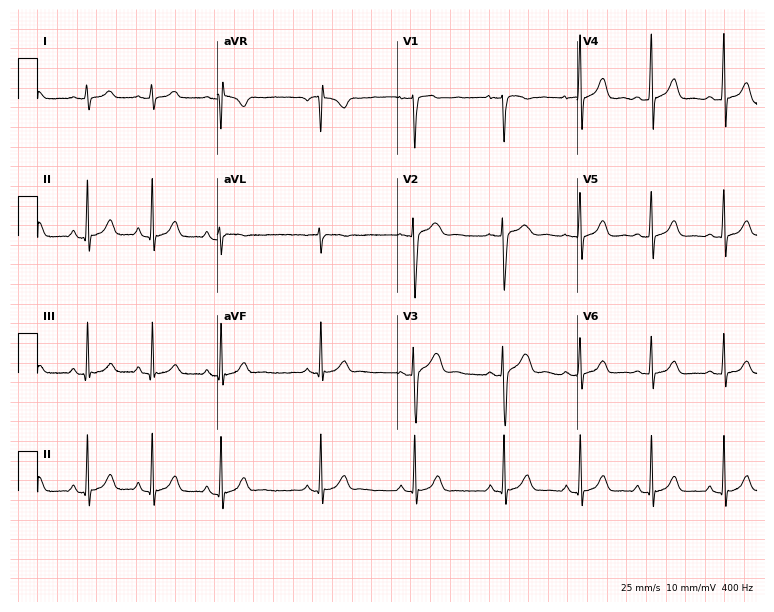
12-lead ECG from an 18-year-old female patient. Labelled as a normal ECG.